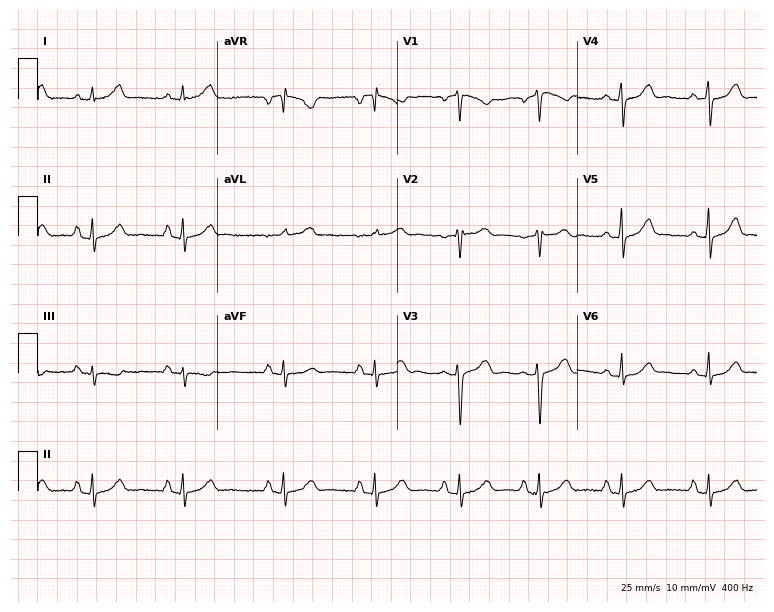
Electrocardiogram, a female, 35 years old. Of the six screened findings (first-degree AV block, right bundle branch block, left bundle branch block, sinus bradycardia, atrial fibrillation, sinus tachycardia), none is recorded. Other findings, if any, are not listed.